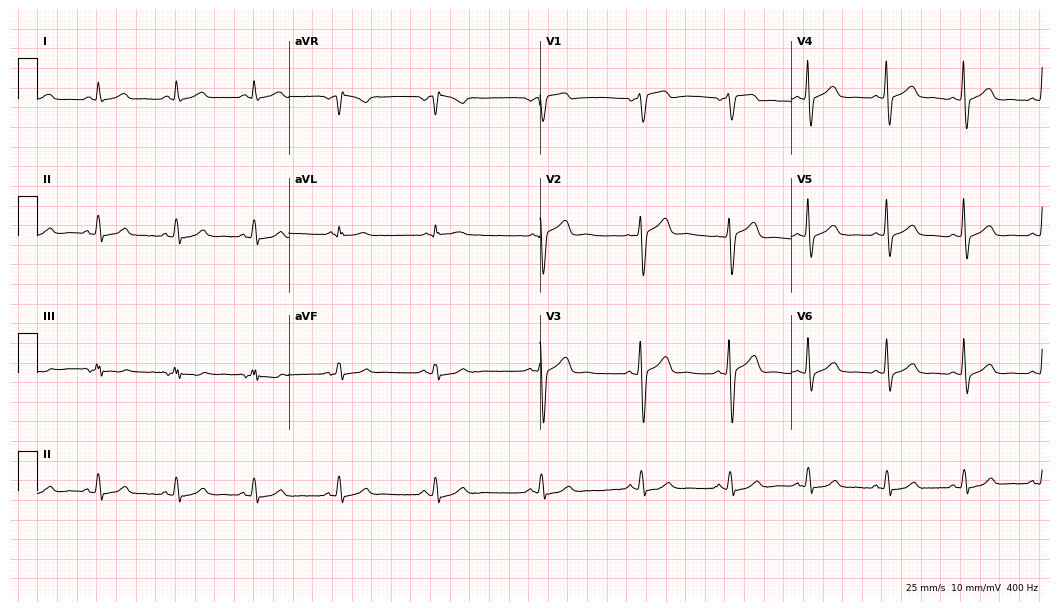
12-lead ECG (10.2-second recording at 400 Hz) from a 75-year-old man. Labelled as a normal ECG.